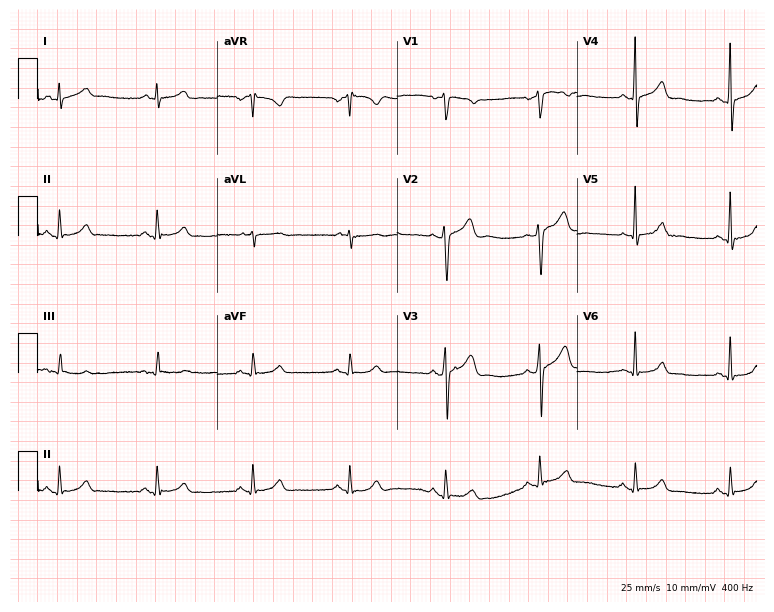
12-lead ECG from a man, 56 years old. Recorded interpretation: within normal limits.